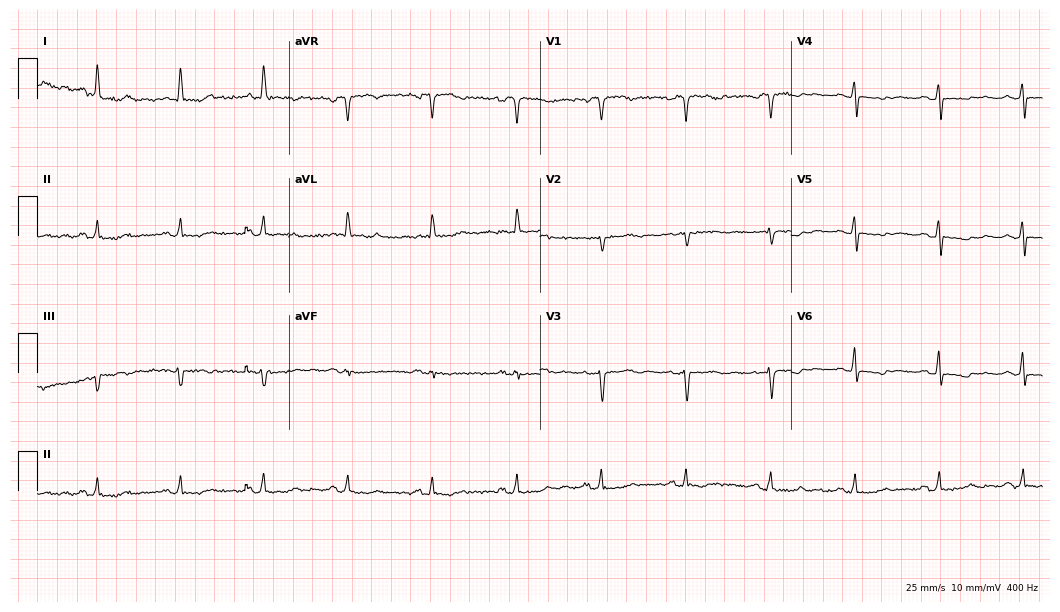
ECG (10.2-second recording at 400 Hz) — a woman, 72 years old. Screened for six findings — first-degree AV block, right bundle branch block (RBBB), left bundle branch block (LBBB), sinus bradycardia, atrial fibrillation (AF), sinus tachycardia — none is recorded.